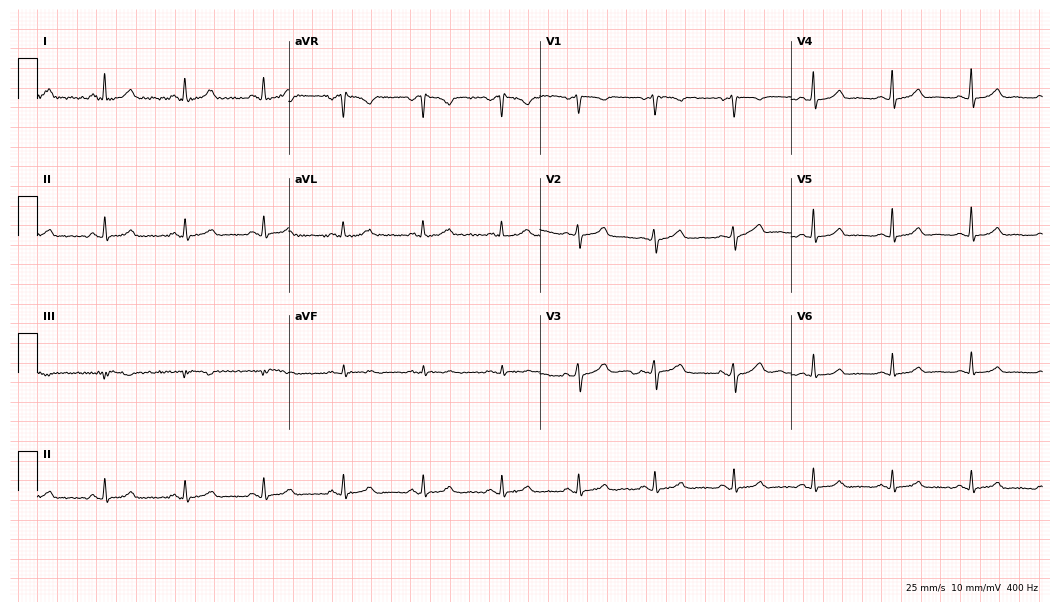
Standard 12-lead ECG recorded from a female, 34 years old (10.2-second recording at 400 Hz). Read as a normal ECG.